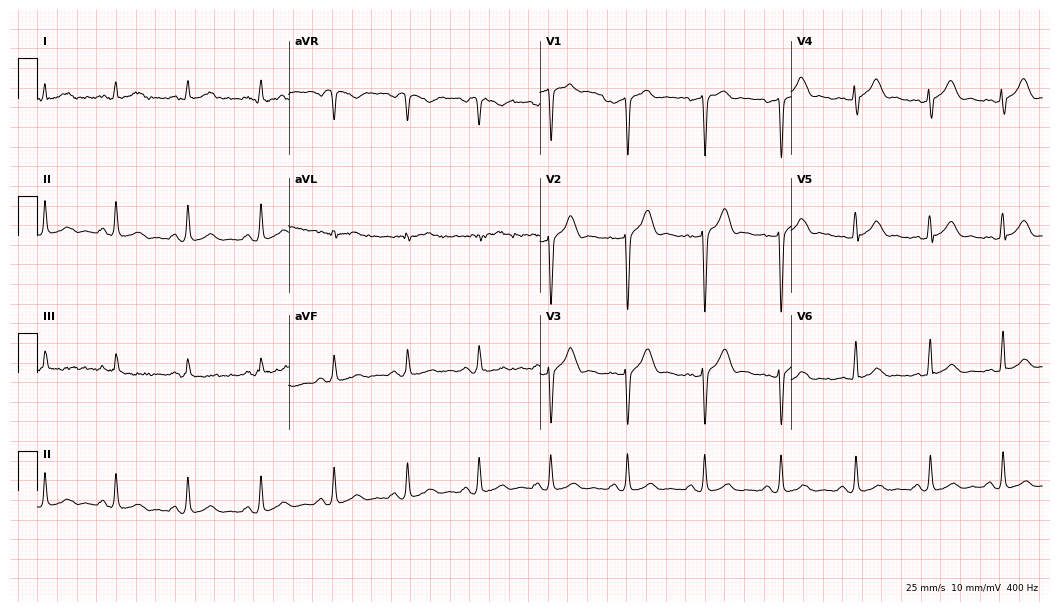
Resting 12-lead electrocardiogram (10.2-second recording at 400 Hz). Patient: a 32-year-old man. Read as a normal ECG.